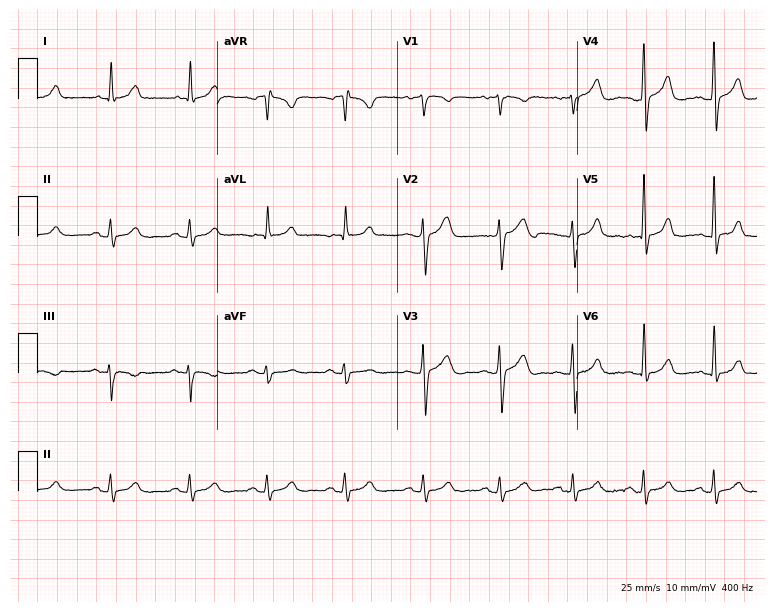
Resting 12-lead electrocardiogram (7.3-second recording at 400 Hz). Patient: a 67-year-old male. Read as a normal ECG.